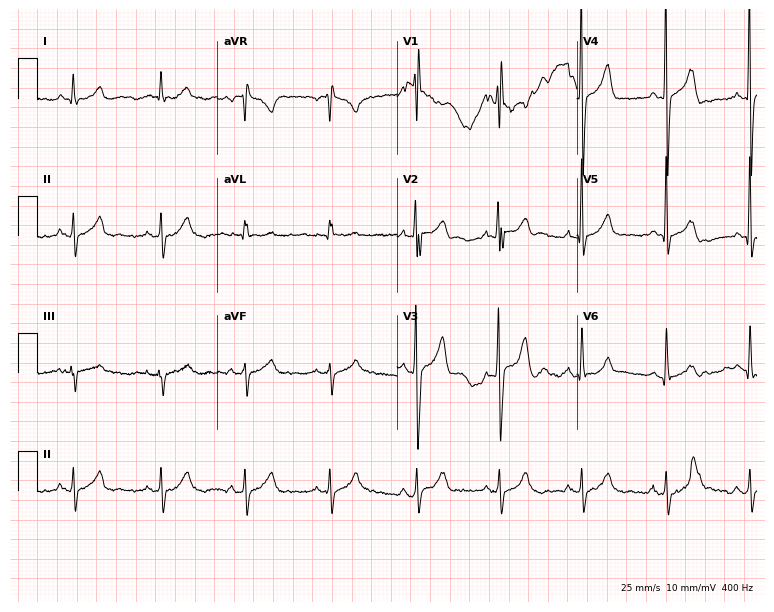
12-lead ECG from a man, 19 years old (7.3-second recording at 400 Hz). No first-degree AV block, right bundle branch block, left bundle branch block, sinus bradycardia, atrial fibrillation or sinus tachycardia recorded for this tracing. Other findings, if any, are not listed.